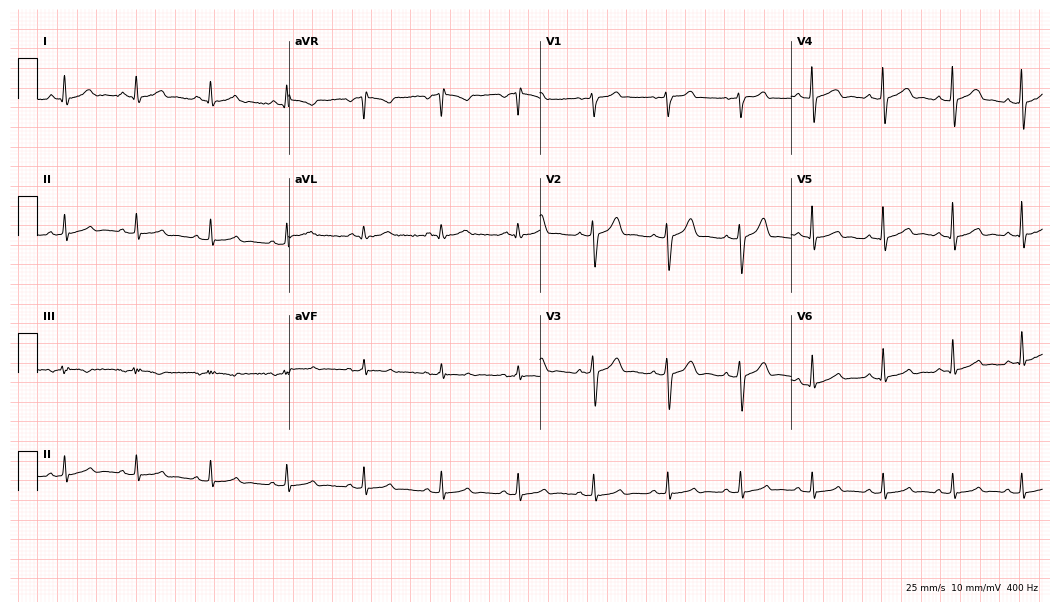
Standard 12-lead ECG recorded from a man, 39 years old (10.2-second recording at 400 Hz). Read as a normal ECG.